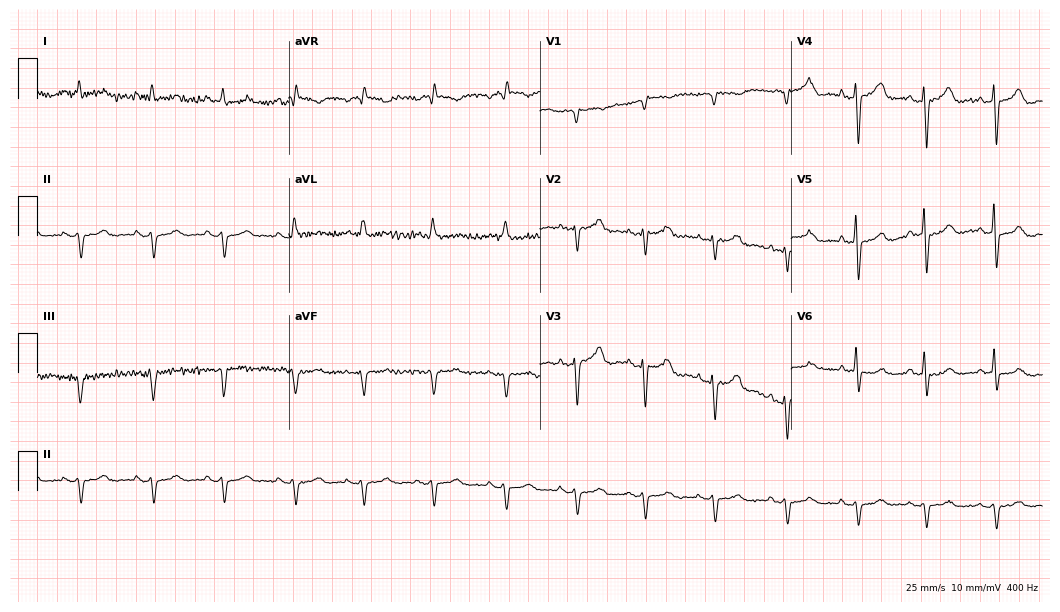
Electrocardiogram, a male patient, 84 years old. Of the six screened findings (first-degree AV block, right bundle branch block, left bundle branch block, sinus bradycardia, atrial fibrillation, sinus tachycardia), none is recorded. Only these six findings were labelled.